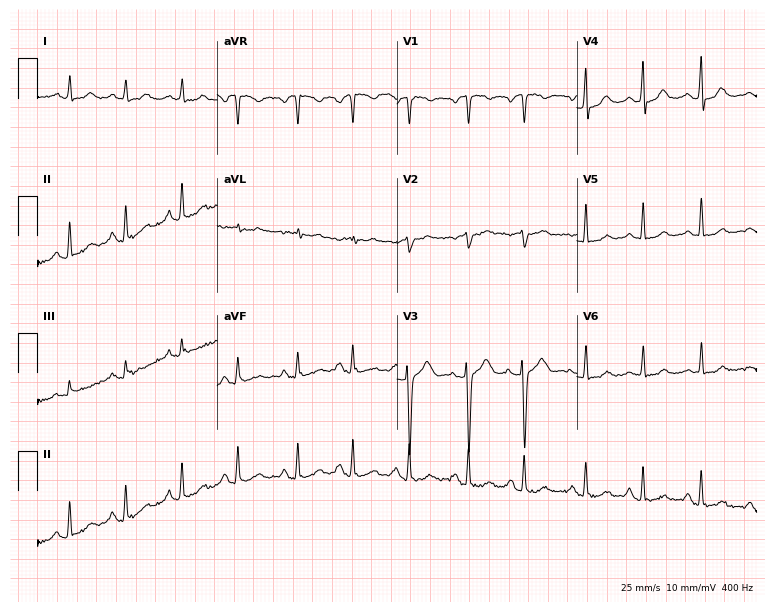
ECG — an 18-year-old female. Findings include sinus tachycardia (a sinus rate of 100 beats per minute or more).